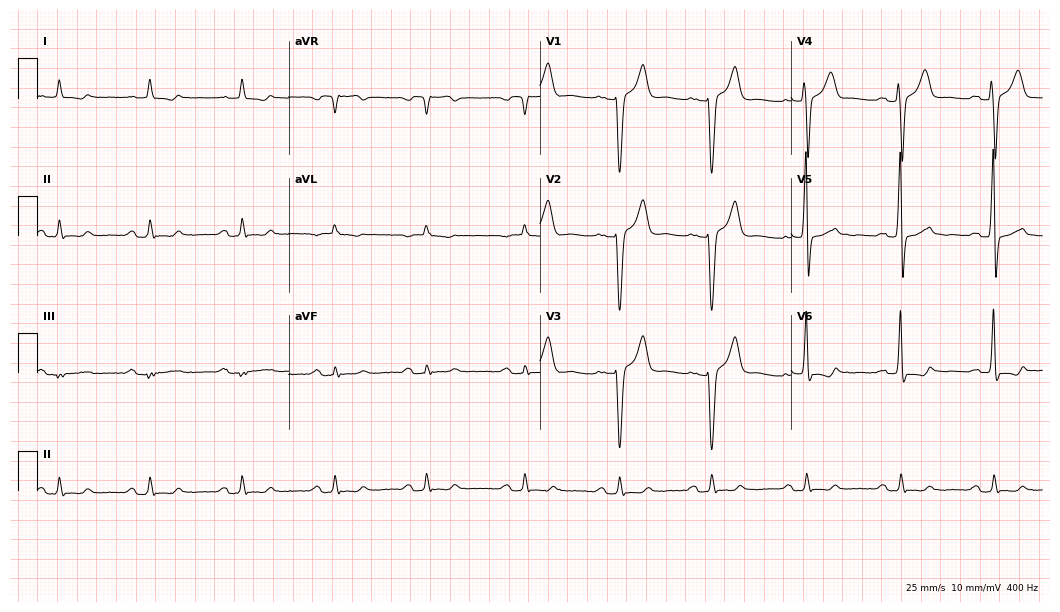
ECG (10.2-second recording at 400 Hz) — a male patient, 75 years old. Screened for six findings — first-degree AV block, right bundle branch block (RBBB), left bundle branch block (LBBB), sinus bradycardia, atrial fibrillation (AF), sinus tachycardia — none is recorded.